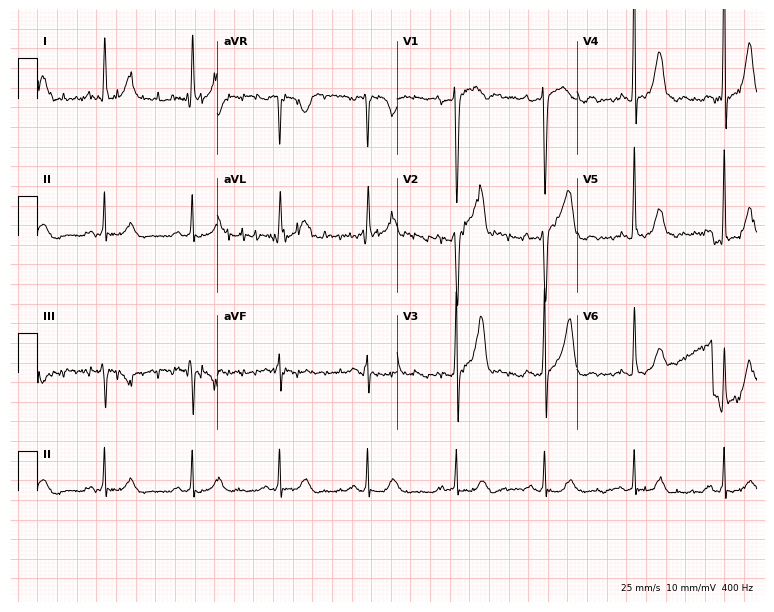
Electrocardiogram (7.3-second recording at 400 Hz), a 50-year-old male. Of the six screened findings (first-degree AV block, right bundle branch block, left bundle branch block, sinus bradycardia, atrial fibrillation, sinus tachycardia), none is recorded. Only these six findings were labelled.